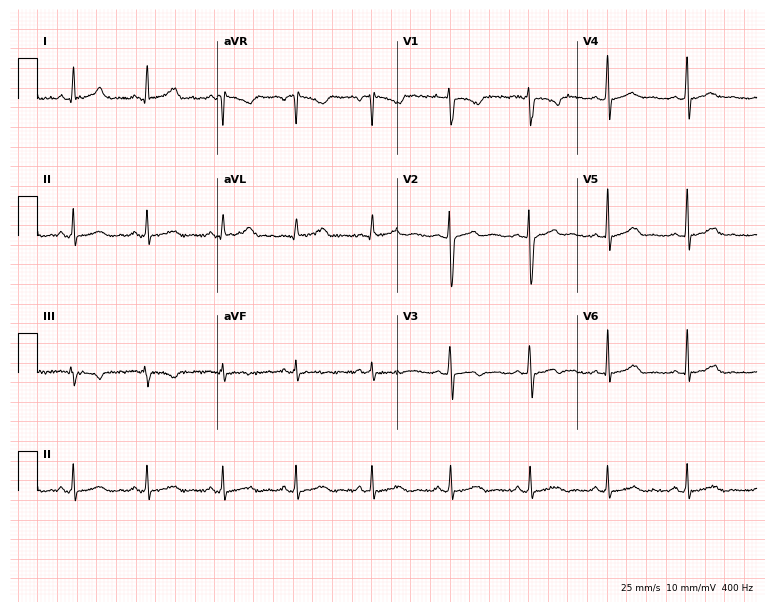
12-lead ECG from a female, 31 years old. Screened for six findings — first-degree AV block, right bundle branch block, left bundle branch block, sinus bradycardia, atrial fibrillation, sinus tachycardia — none is recorded.